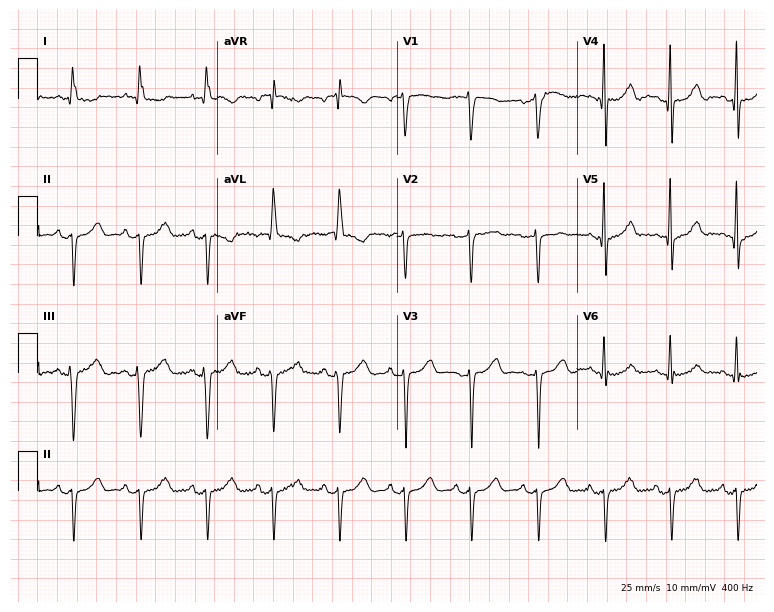
12-lead ECG from a woman, 73 years old (7.3-second recording at 400 Hz). No first-degree AV block, right bundle branch block, left bundle branch block, sinus bradycardia, atrial fibrillation or sinus tachycardia recorded for this tracing. Findings outside these six are not listed.